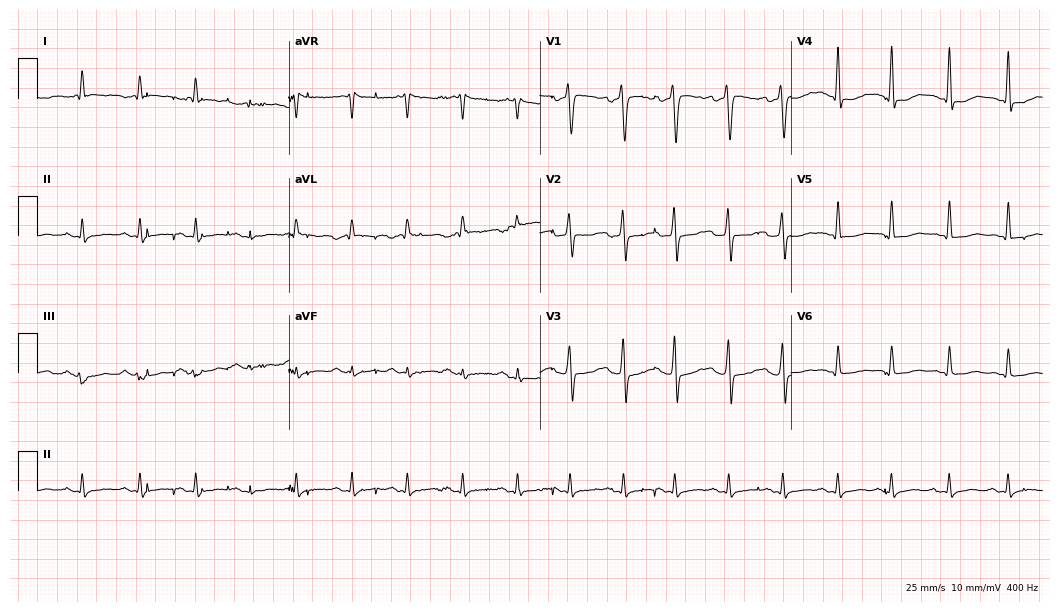
ECG (10.2-second recording at 400 Hz) — a woman, 45 years old. Screened for six findings — first-degree AV block, right bundle branch block (RBBB), left bundle branch block (LBBB), sinus bradycardia, atrial fibrillation (AF), sinus tachycardia — none is recorded. Only these six findings were labelled.